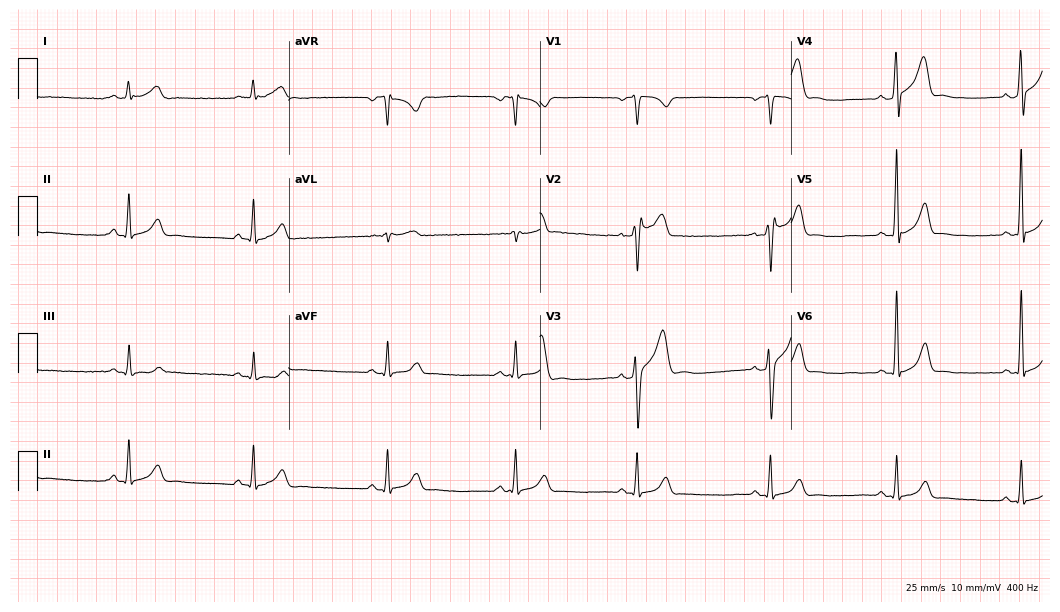
12-lead ECG from a 32-year-old male. Findings include sinus bradycardia (a sinus rate of 50 beats per minute or less).